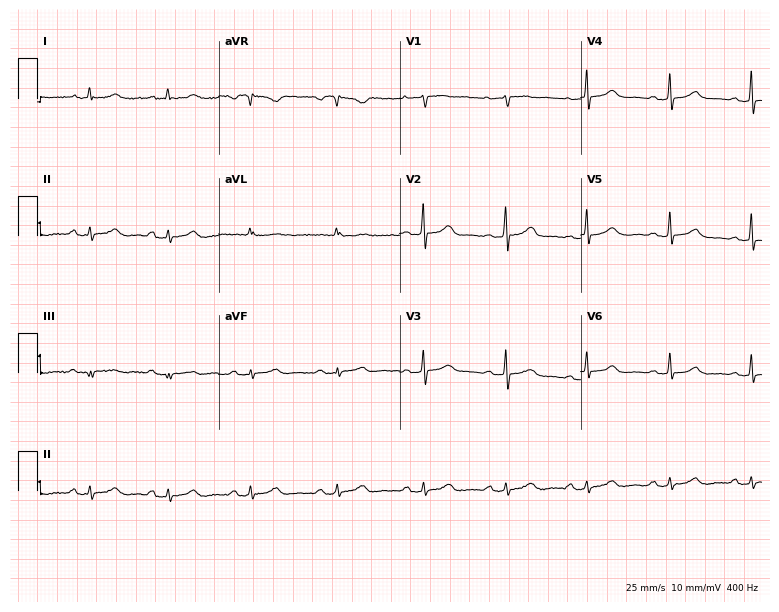
Electrocardiogram (7.4-second recording at 400 Hz), a female patient, 28 years old. Overall reading on record: normal ECG.